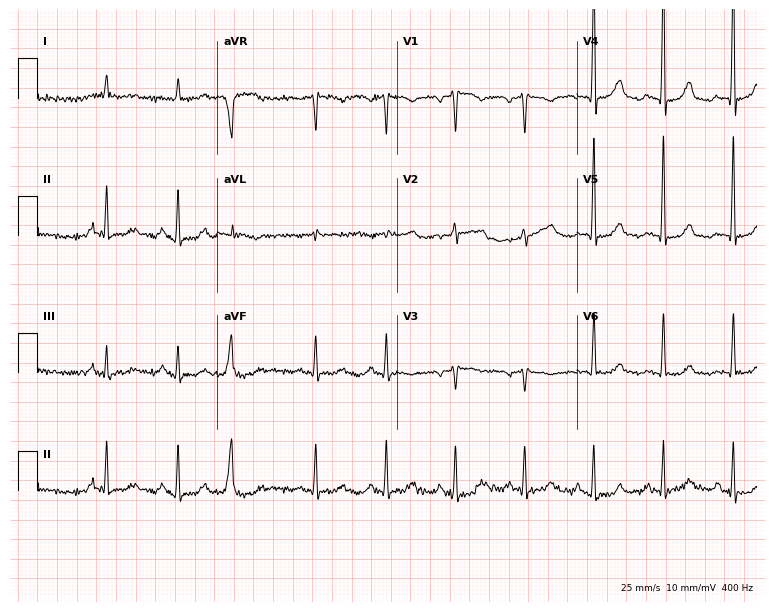
12-lead ECG (7.3-second recording at 400 Hz) from an 82-year-old male. Screened for six findings — first-degree AV block, right bundle branch block, left bundle branch block, sinus bradycardia, atrial fibrillation, sinus tachycardia — none is recorded. Other findings, if any, are not listed.